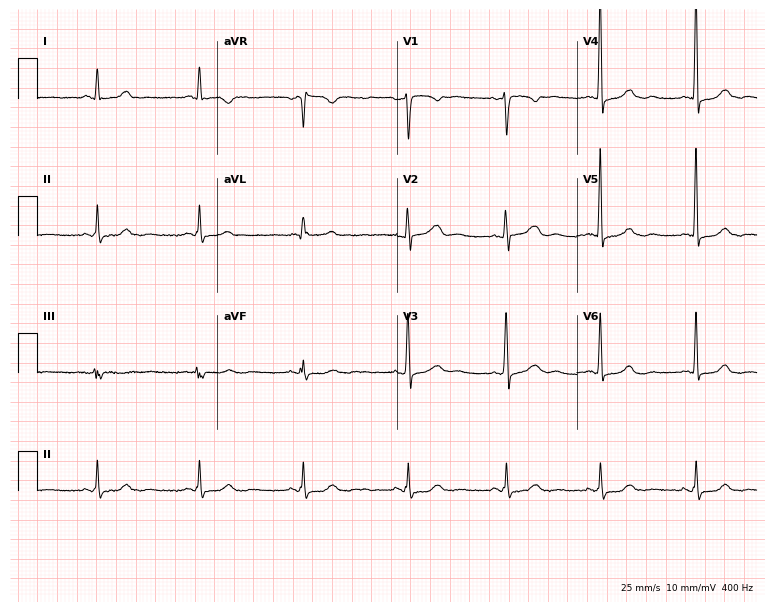
Resting 12-lead electrocardiogram (7.3-second recording at 400 Hz). Patient: a female, 45 years old. Read as a normal ECG.